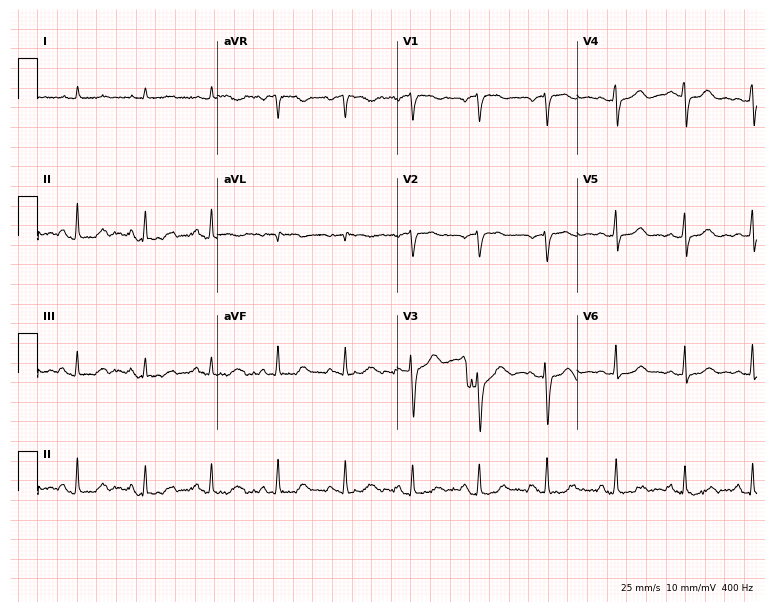
Standard 12-lead ECG recorded from a 60-year-old woman. None of these six findings is recorded: first-degree AV block, right bundle branch block (RBBB), left bundle branch block (LBBB), sinus bradycardia, atrial fibrillation (AF), sinus tachycardia. Only these six findings were labelled.